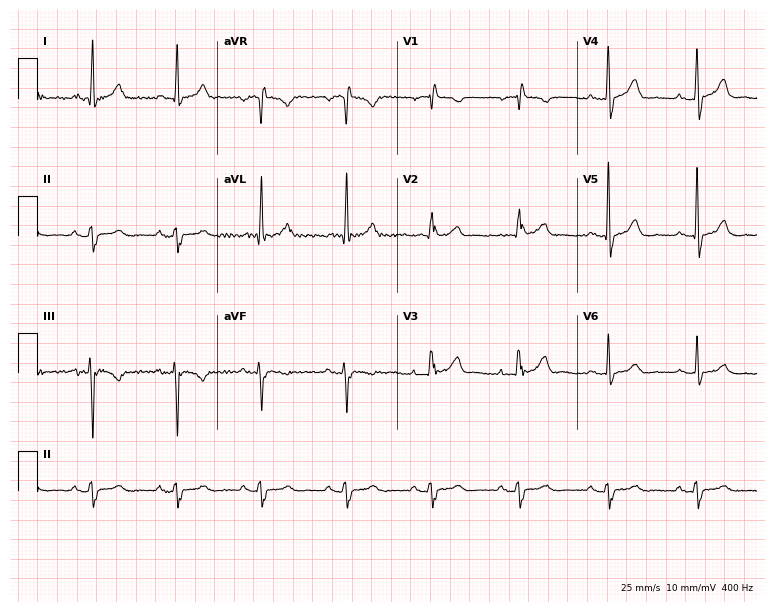
Electrocardiogram, a 71-year-old male. Of the six screened findings (first-degree AV block, right bundle branch block (RBBB), left bundle branch block (LBBB), sinus bradycardia, atrial fibrillation (AF), sinus tachycardia), none is recorded. Findings outside these six are not listed.